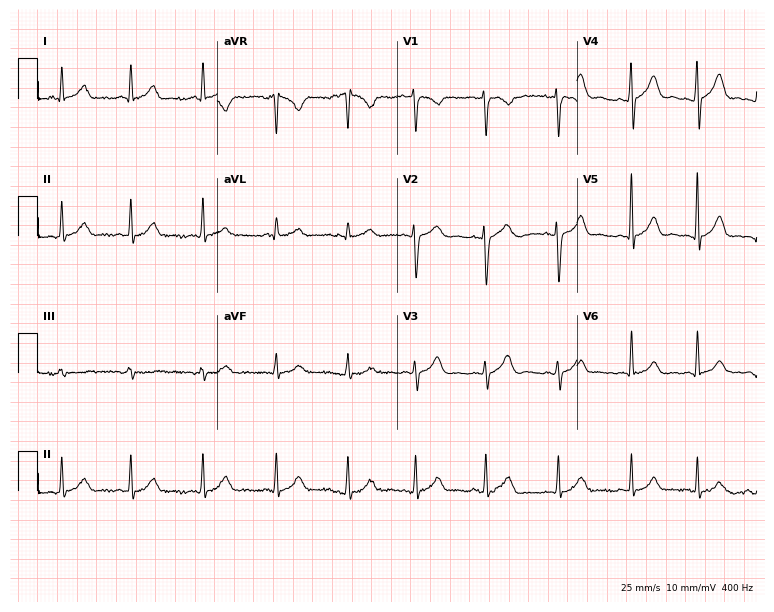
Electrocardiogram (7.3-second recording at 400 Hz), a female patient, 31 years old. Overall reading on record: normal ECG.